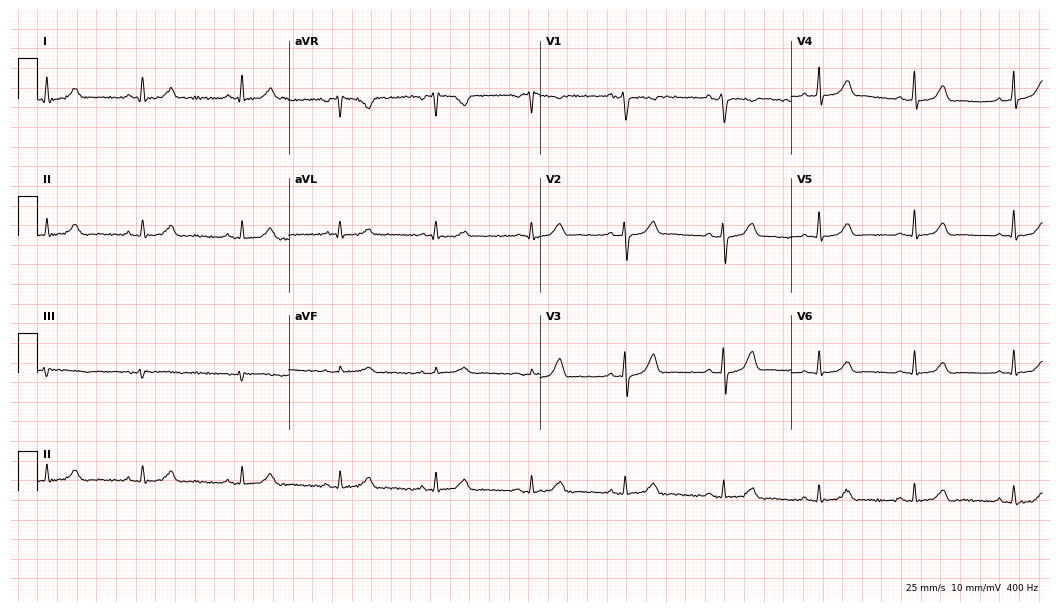
12-lead ECG (10.2-second recording at 400 Hz) from a woman, 34 years old. Labelled as a normal ECG.